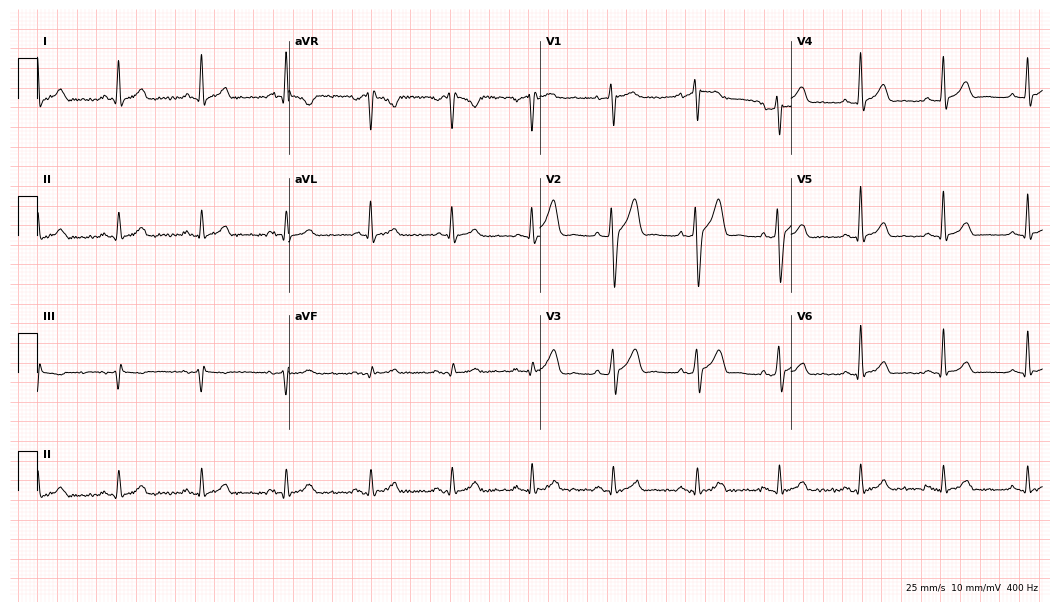
12-lead ECG from a 40-year-old male (10.2-second recording at 400 Hz). Recorded interpretation: within normal limits.